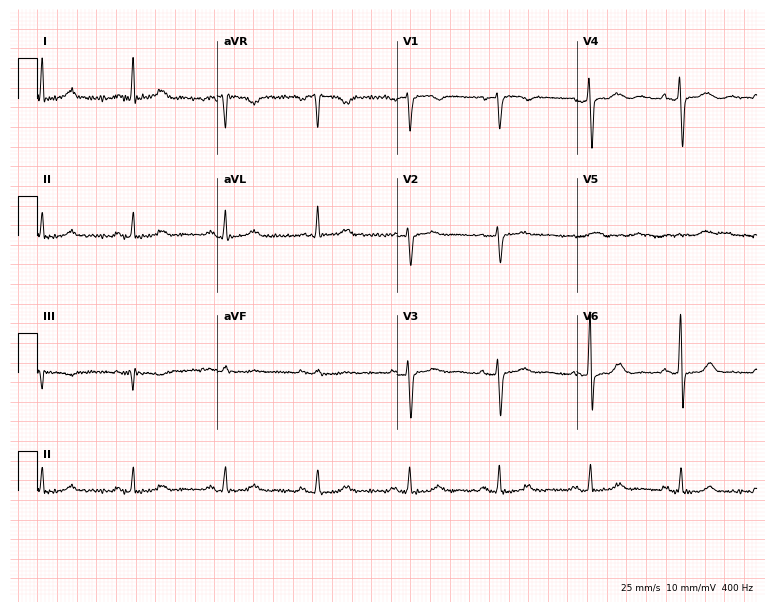
Electrocardiogram, a female, 59 years old. Of the six screened findings (first-degree AV block, right bundle branch block, left bundle branch block, sinus bradycardia, atrial fibrillation, sinus tachycardia), none is recorded. Other findings, if any, are not listed.